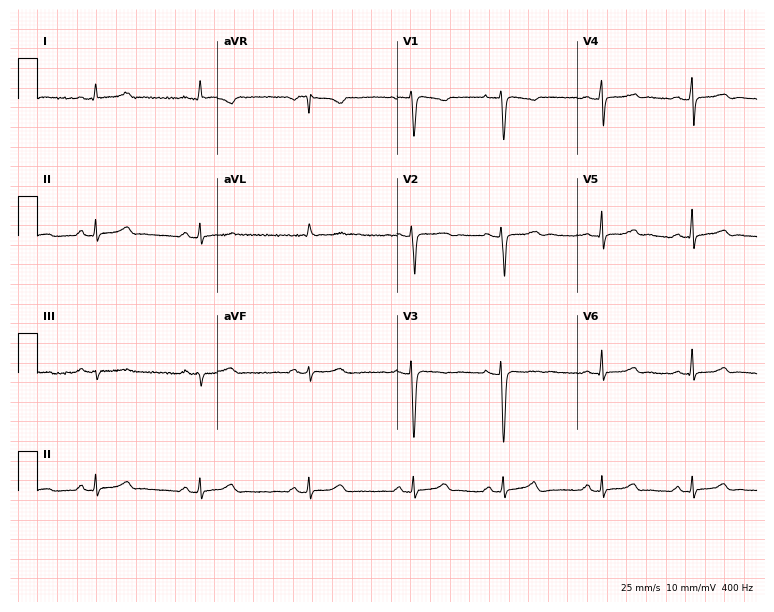
12-lead ECG from a female, 36 years old (7.3-second recording at 400 Hz). Recorded interpretation: within normal limits.